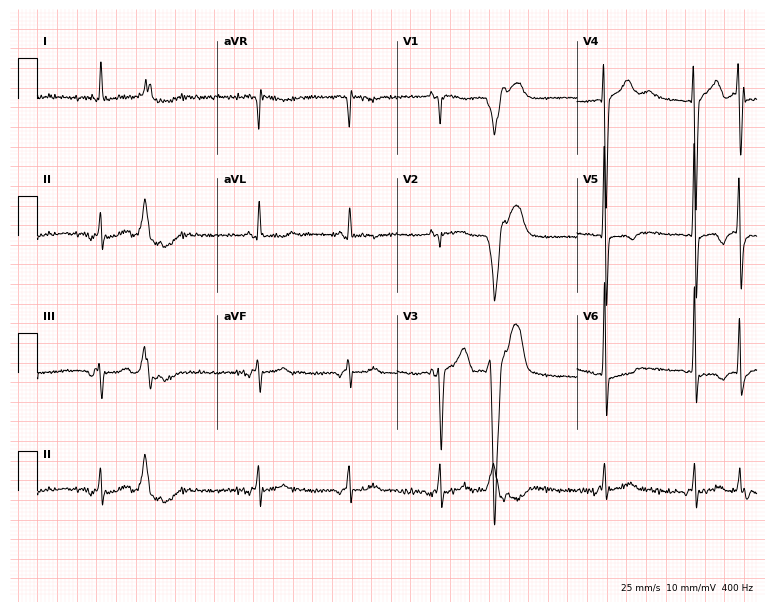
Electrocardiogram (7.3-second recording at 400 Hz), an 86-year-old female patient. Of the six screened findings (first-degree AV block, right bundle branch block, left bundle branch block, sinus bradycardia, atrial fibrillation, sinus tachycardia), none is recorded.